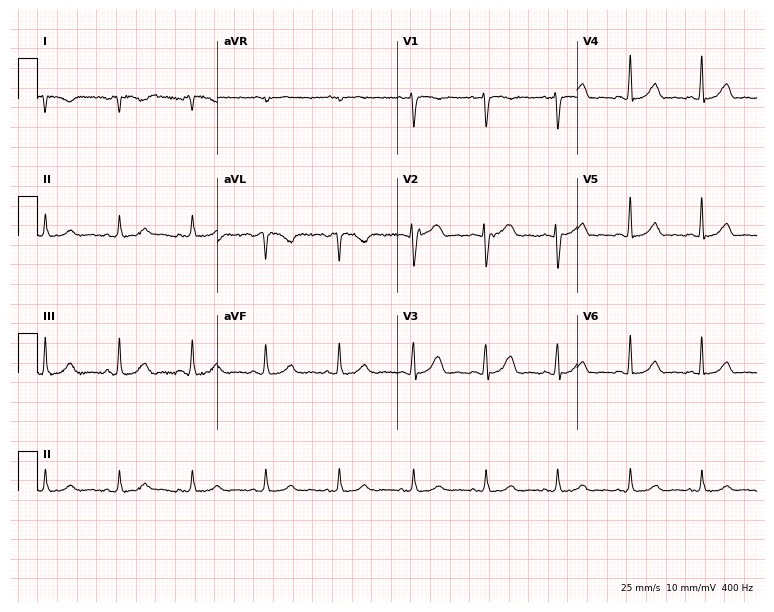
12-lead ECG from a 33-year-old female patient. Screened for six findings — first-degree AV block, right bundle branch block (RBBB), left bundle branch block (LBBB), sinus bradycardia, atrial fibrillation (AF), sinus tachycardia — none is recorded. Other findings, if any, are not listed.